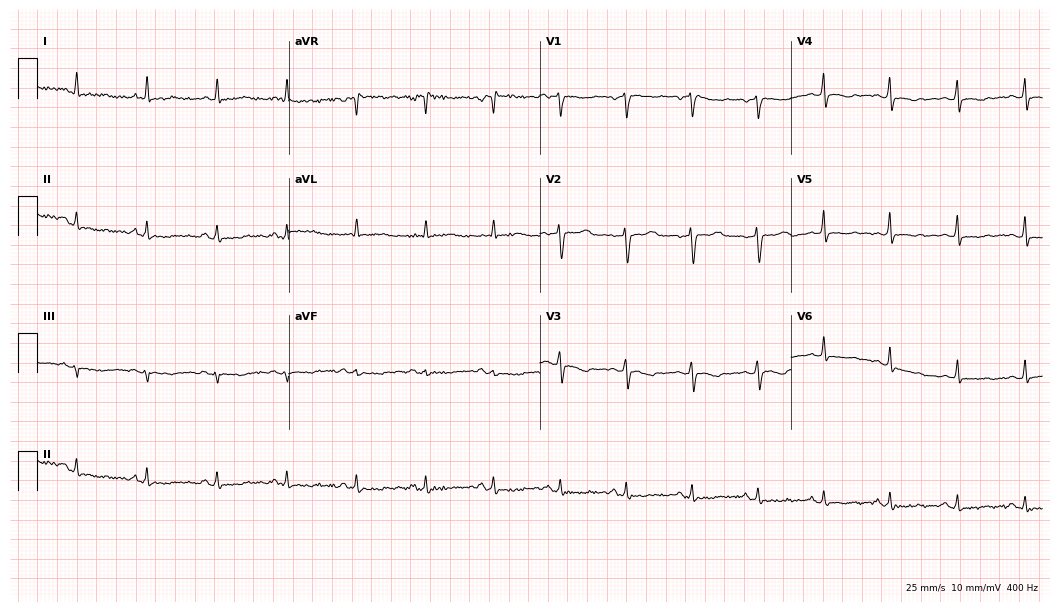
Standard 12-lead ECG recorded from a 44-year-old woman (10.2-second recording at 400 Hz). None of these six findings is recorded: first-degree AV block, right bundle branch block, left bundle branch block, sinus bradycardia, atrial fibrillation, sinus tachycardia. Findings outside these six are not listed.